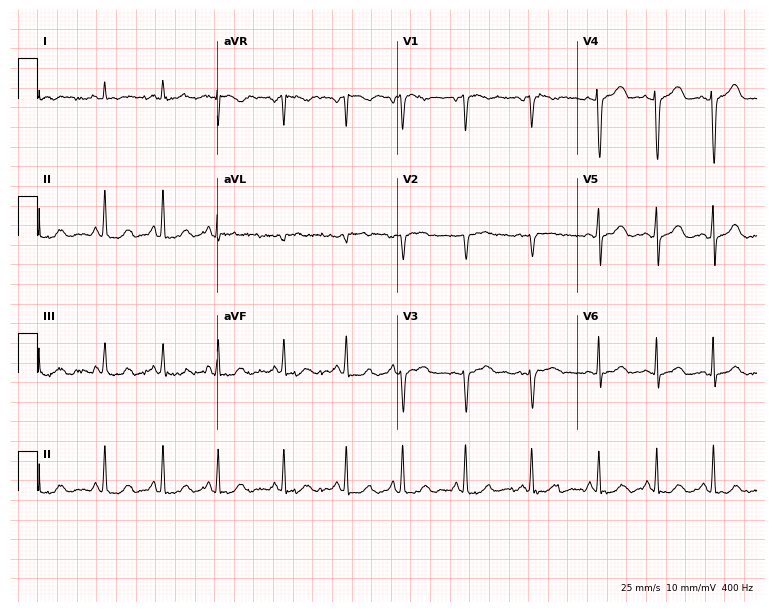
12-lead ECG (7.3-second recording at 400 Hz) from a female, 62 years old. Screened for six findings — first-degree AV block, right bundle branch block (RBBB), left bundle branch block (LBBB), sinus bradycardia, atrial fibrillation (AF), sinus tachycardia — none is recorded.